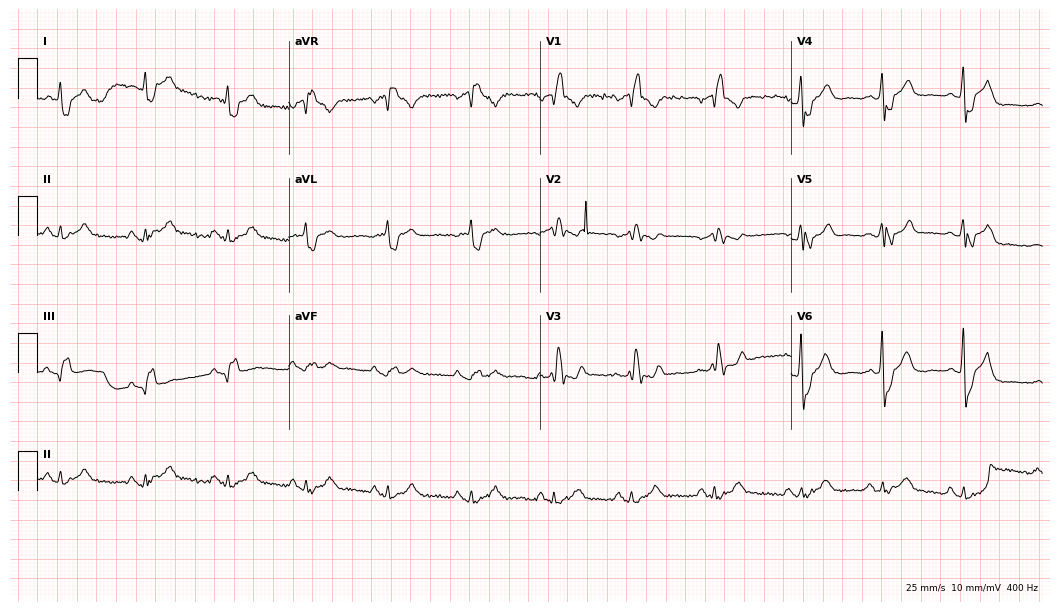
12-lead ECG (10.2-second recording at 400 Hz) from a man, 58 years old. Findings include right bundle branch block (RBBB).